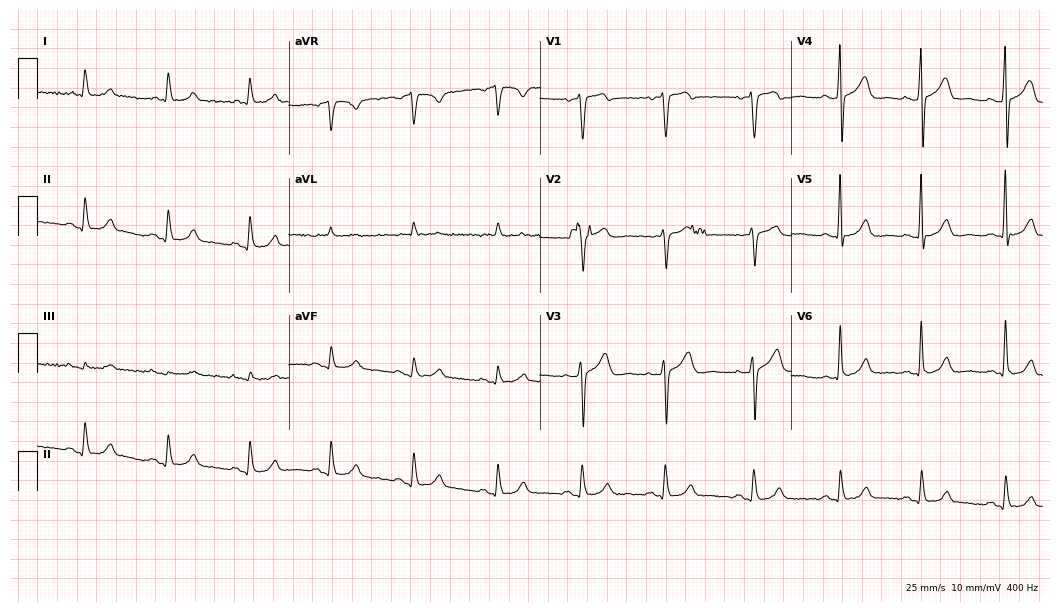
ECG — a 74-year-old man. Labelled as a normal ECG.